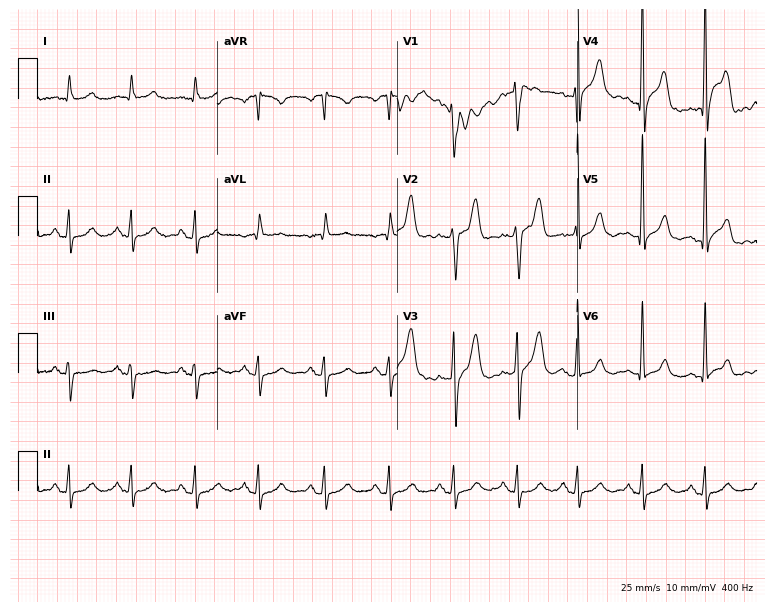
Standard 12-lead ECG recorded from a 70-year-old male (7.3-second recording at 400 Hz). None of these six findings is recorded: first-degree AV block, right bundle branch block, left bundle branch block, sinus bradycardia, atrial fibrillation, sinus tachycardia. Other findings, if any, are not listed.